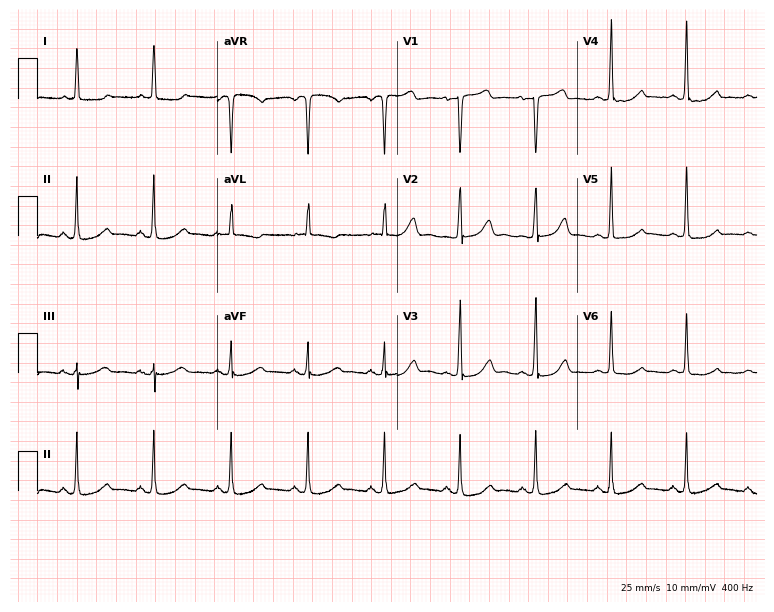
Electrocardiogram, a 61-year-old woman. Of the six screened findings (first-degree AV block, right bundle branch block (RBBB), left bundle branch block (LBBB), sinus bradycardia, atrial fibrillation (AF), sinus tachycardia), none is recorded. Findings outside these six are not listed.